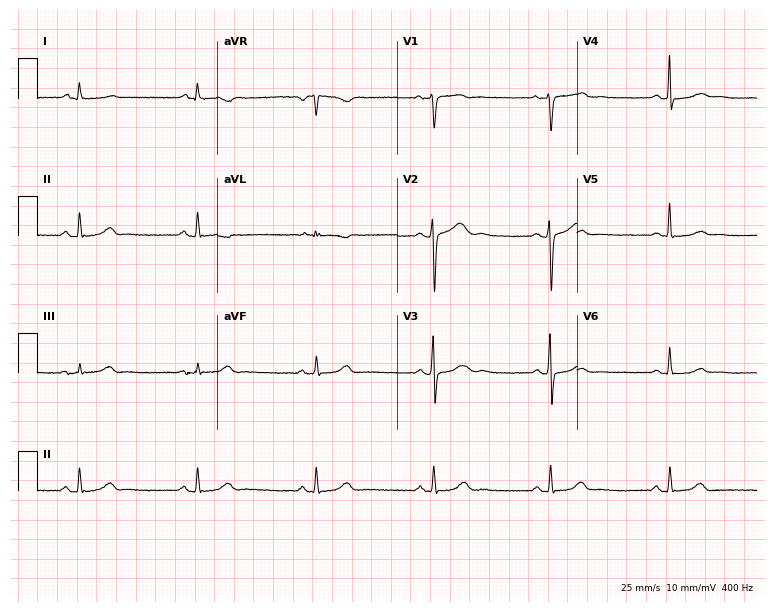
12-lead ECG from a 58-year-old woman. Shows sinus bradycardia (a sinus rate of 50 beats per minute or less).